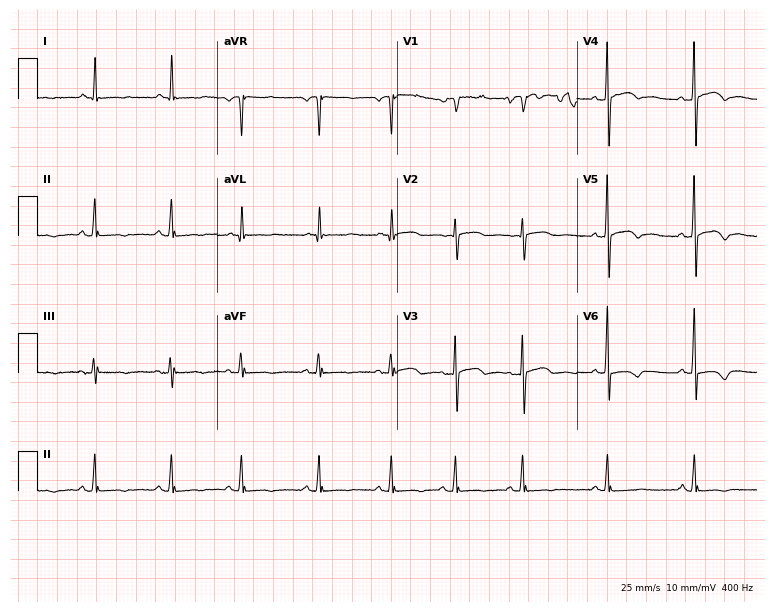
Resting 12-lead electrocardiogram. Patient: a 65-year-old female. None of these six findings is recorded: first-degree AV block, right bundle branch block (RBBB), left bundle branch block (LBBB), sinus bradycardia, atrial fibrillation (AF), sinus tachycardia. Other findings, if any, are not listed.